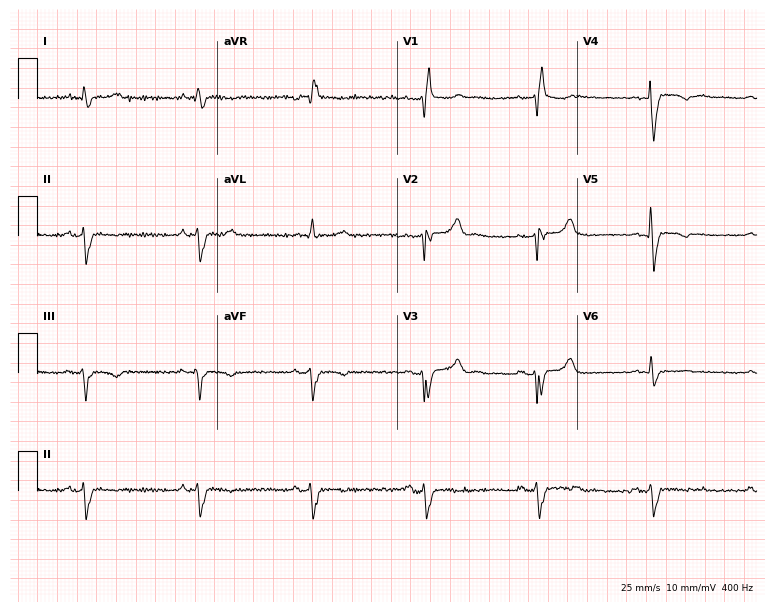
ECG — an 81-year-old male. Findings include right bundle branch block.